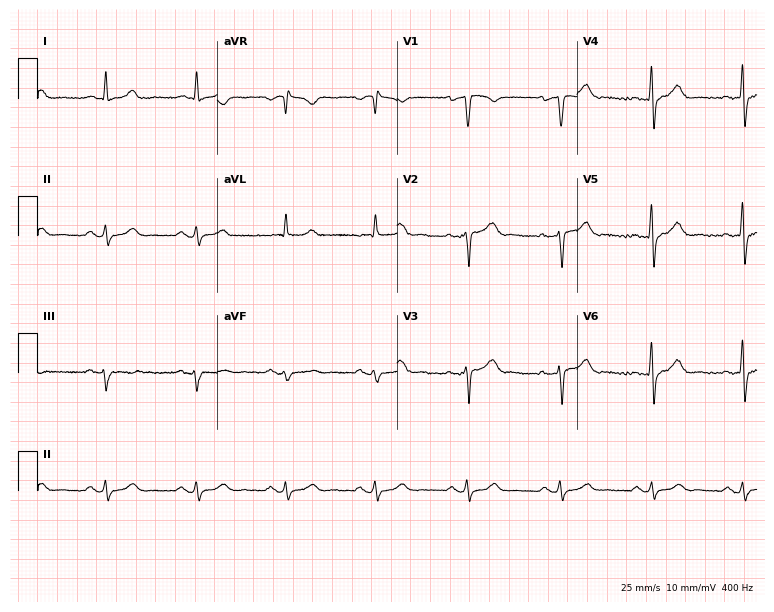
12-lead ECG (7.3-second recording at 400 Hz) from a 55-year-old male. Screened for six findings — first-degree AV block, right bundle branch block, left bundle branch block, sinus bradycardia, atrial fibrillation, sinus tachycardia — none is recorded.